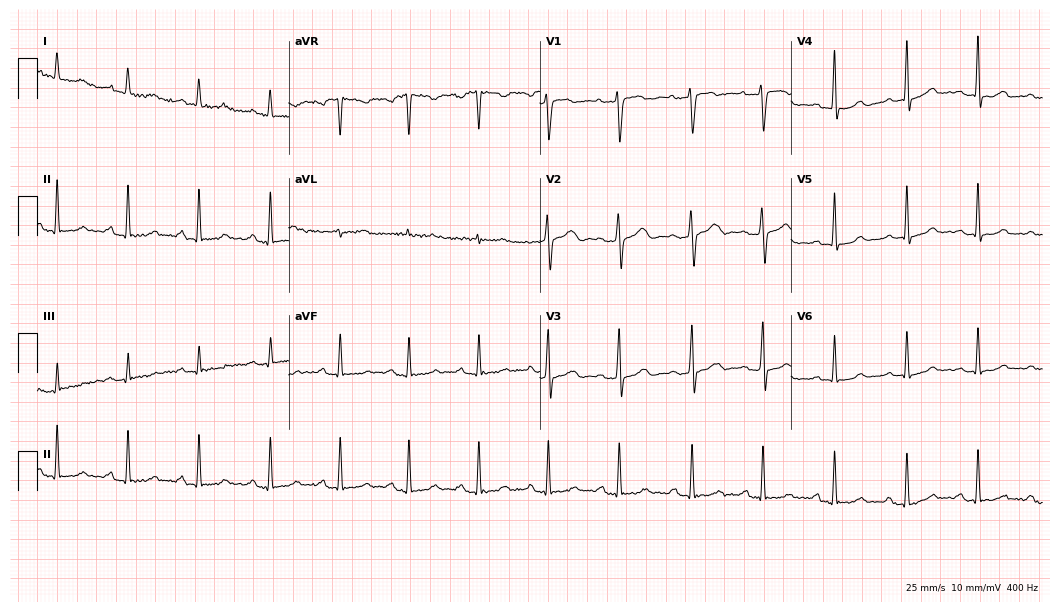
ECG — a 32-year-old female patient. Screened for six findings — first-degree AV block, right bundle branch block, left bundle branch block, sinus bradycardia, atrial fibrillation, sinus tachycardia — none is recorded. Only these six findings were labelled.